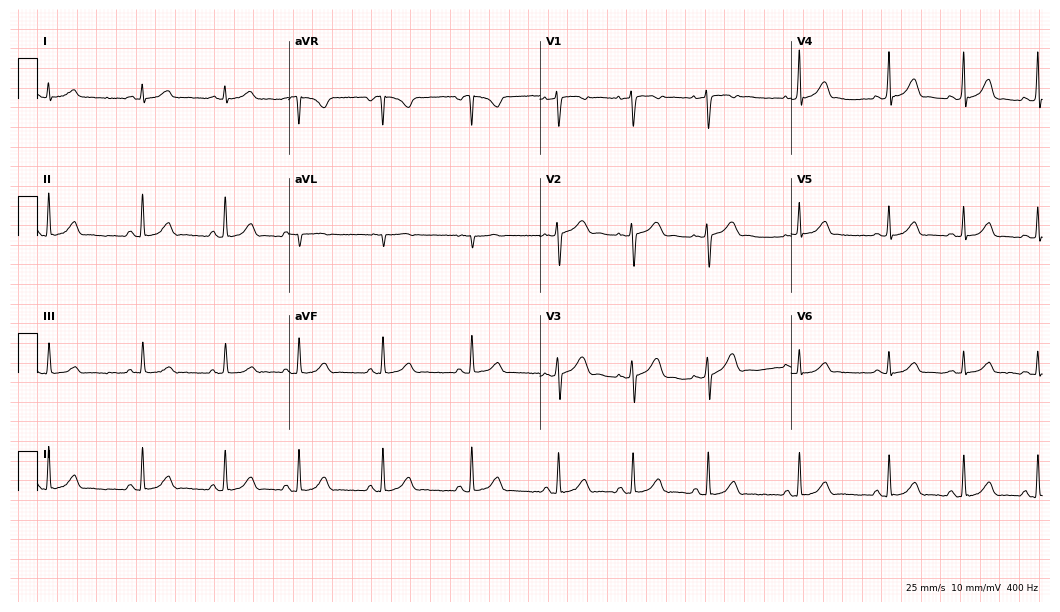
Electrocardiogram, a 17-year-old female patient. Overall reading on record: normal ECG.